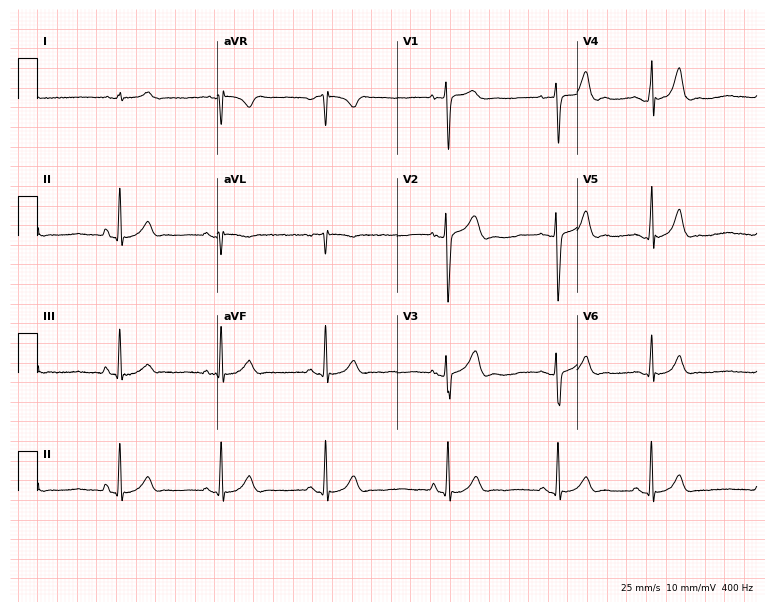
Electrocardiogram (7.3-second recording at 400 Hz), a male, 18 years old. Overall reading on record: normal ECG.